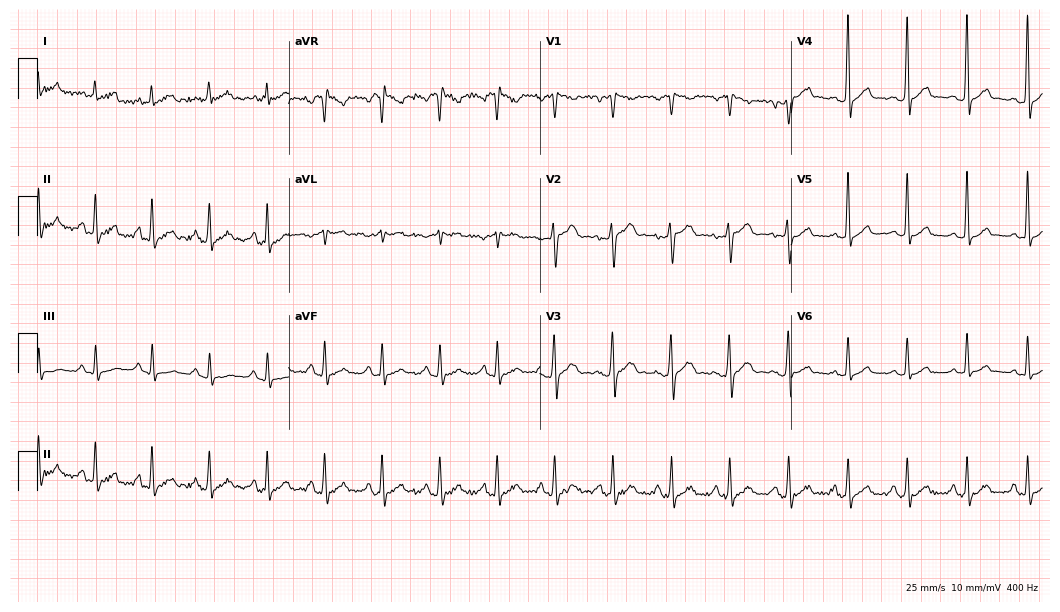
Resting 12-lead electrocardiogram. Patient: a 39-year-old man. The tracing shows sinus tachycardia (a sinus rate of 100 beats per minute or more).